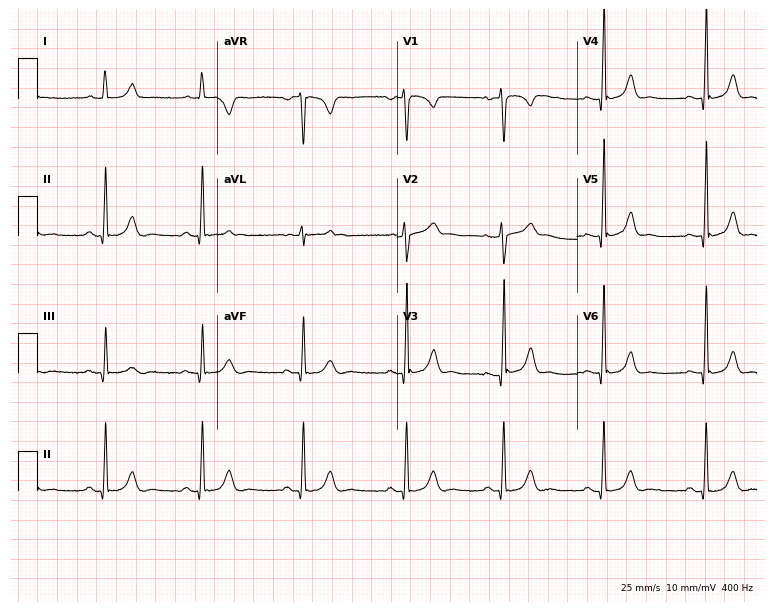
12-lead ECG from a female, 36 years old. Recorded interpretation: within normal limits.